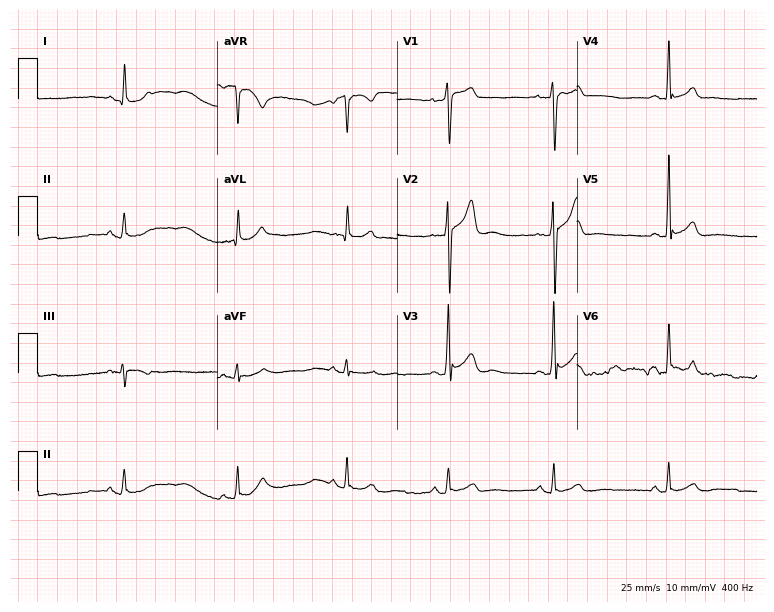
12-lead ECG from a male patient, 24 years old (7.3-second recording at 400 Hz). No first-degree AV block, right bundle branch block, left bundle branch block, sinus bradycardia, atrial fibrillation or sinus tachycardia recorded for this tracing. Other findings, if any, are not listed.